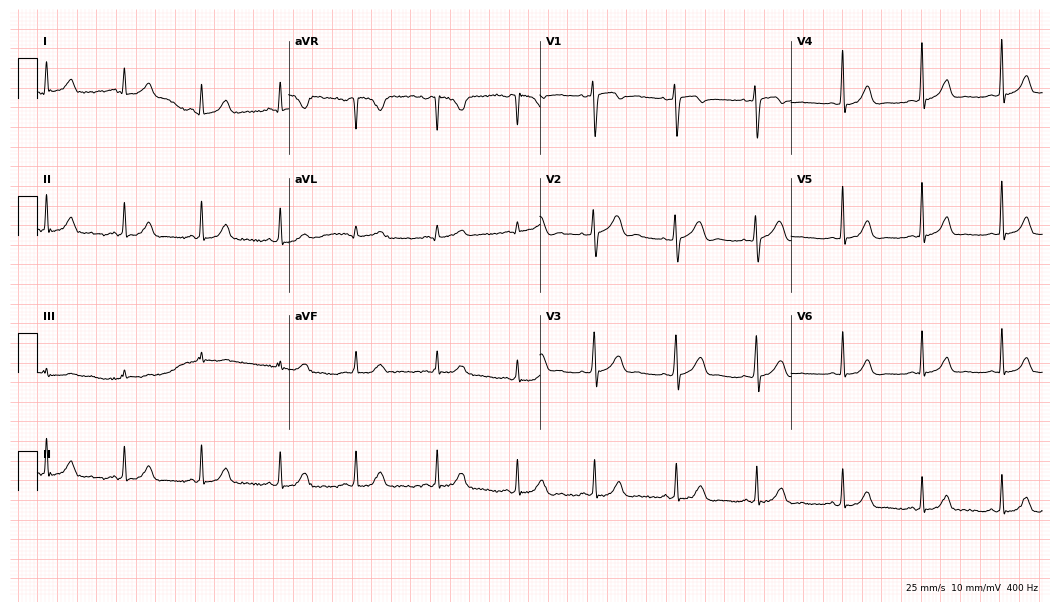
Resting 12-lead electrocardiogram (10.2-second recording at 400 Hz). Patient: a female, 34 years old. Read as a normal ECG.